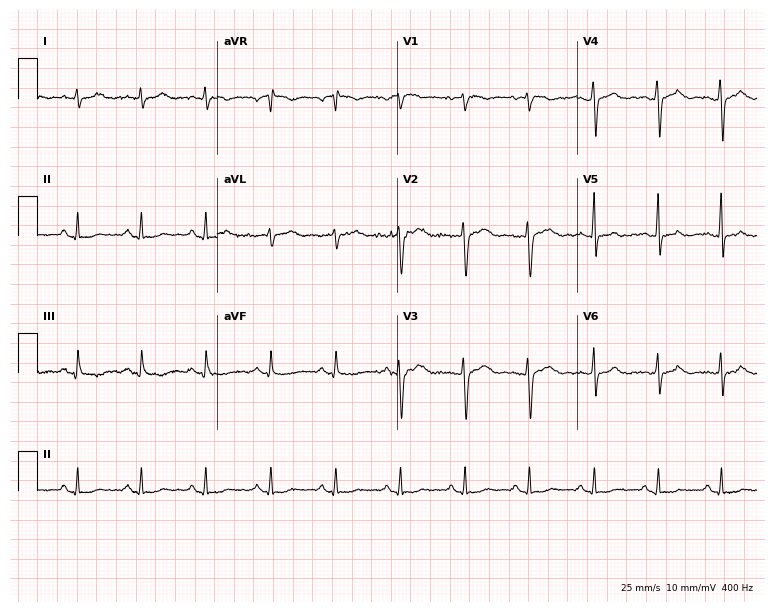
Standard 12-lead ECG recorded from a female, 39 years old. None of these six findings is recorded: first-degree AV block, right bundle branch block, left bundle branch block, sinus bradycardia, atrial fibrillation, sinus tachycardia.